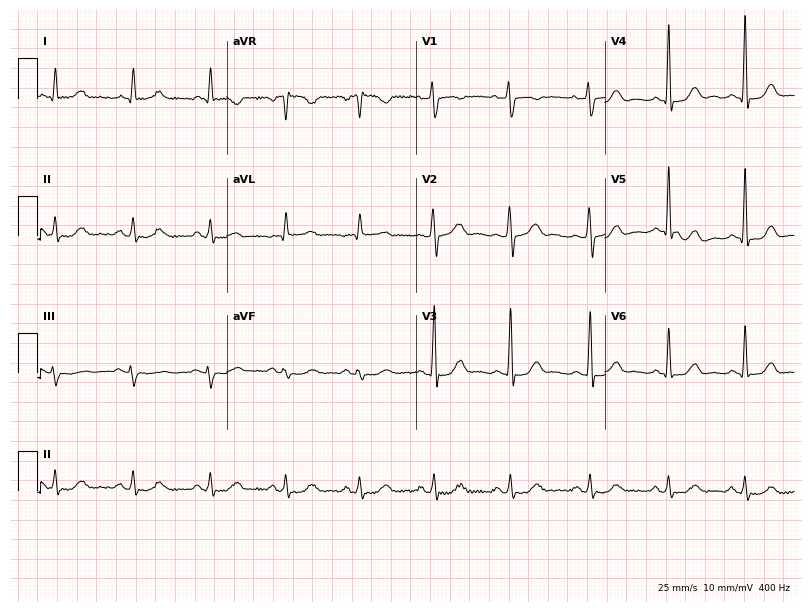
Electrocardiogram (7.7-second recording at 400 Hz), a female patient, 59 years old. Overall reading on record: normal ECG.